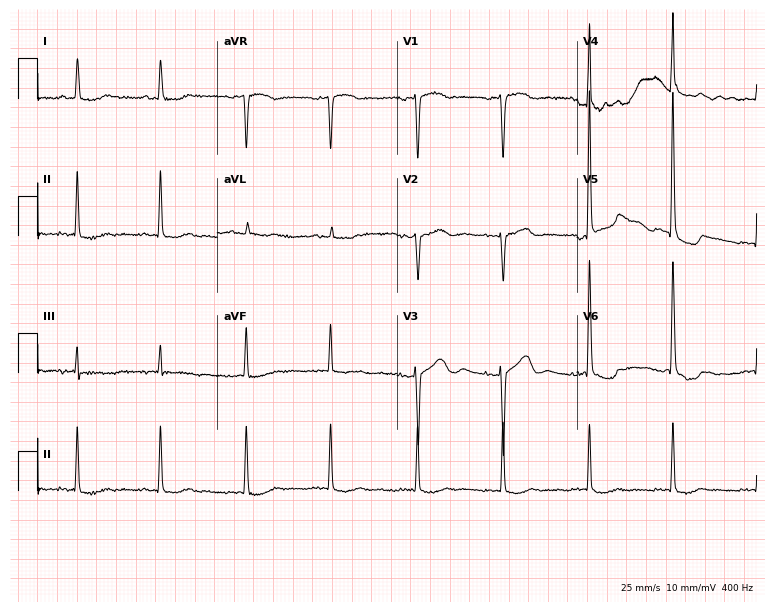
Resting 12-lead electrocardiogram (7.3-second recording at 400 Hz). Patient: an 84-year-old woman. None of these six findings is recorded: first-degree AV block, right bundle branch block (RBBB), left bundle branch block (LBBB), sinus bradycardia, atrial fibrillation (AF), sinus tachycardia. Only these six findings were labelled.